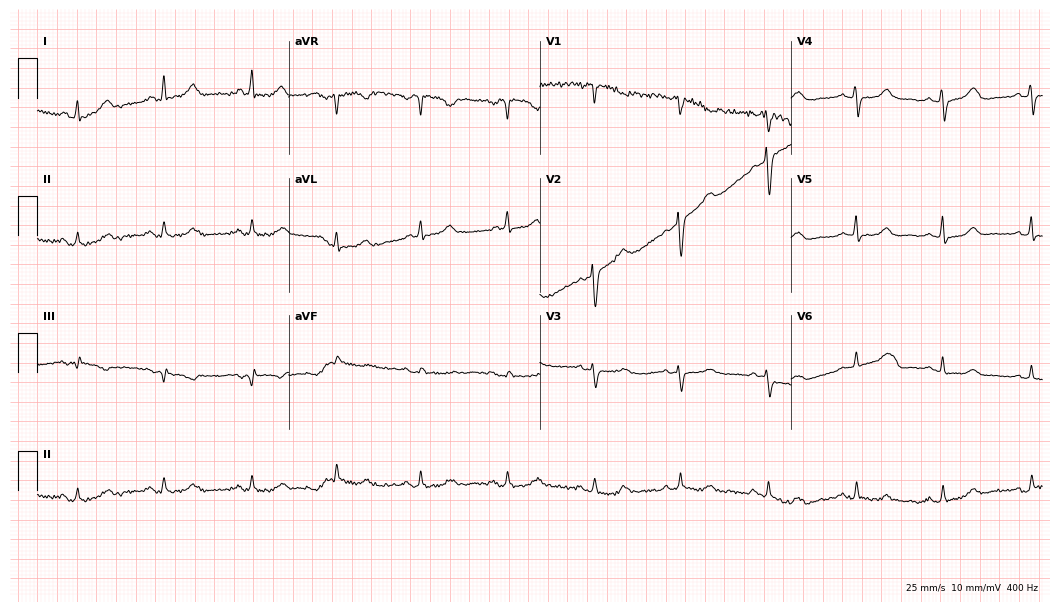
Resting 12-lead electrocardiogram (10.2-second recording at 400 Hz). Patient: a 77-year-old female. None of these six findings is recorded: first-degree AV block, right bundle branch block (RBBB), left bundle branch block (LBBB), sinus bradycardia, atrial fibrillation (AF), sinus tachycardia.